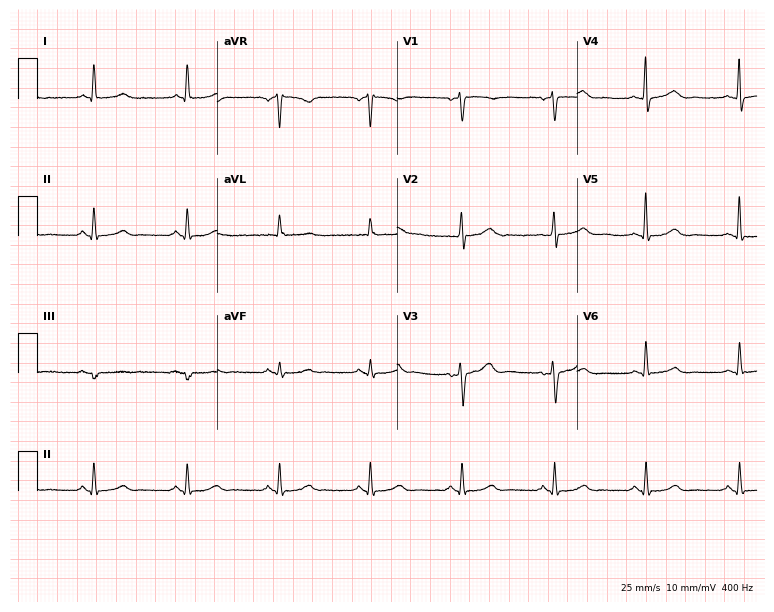
12-lead ECG from a 67-year-old female. Recorded interpretation: within normal limits.